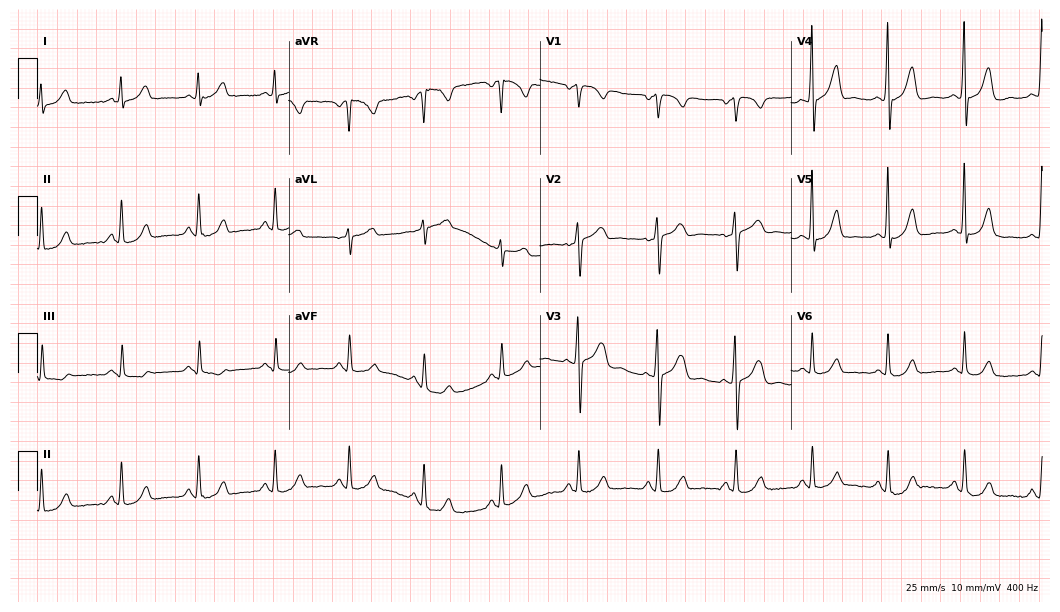
Electrocardiogram (10.2-second recording at 400 Hz), a female, 35 years old. Overall reading on record: normal ECG.